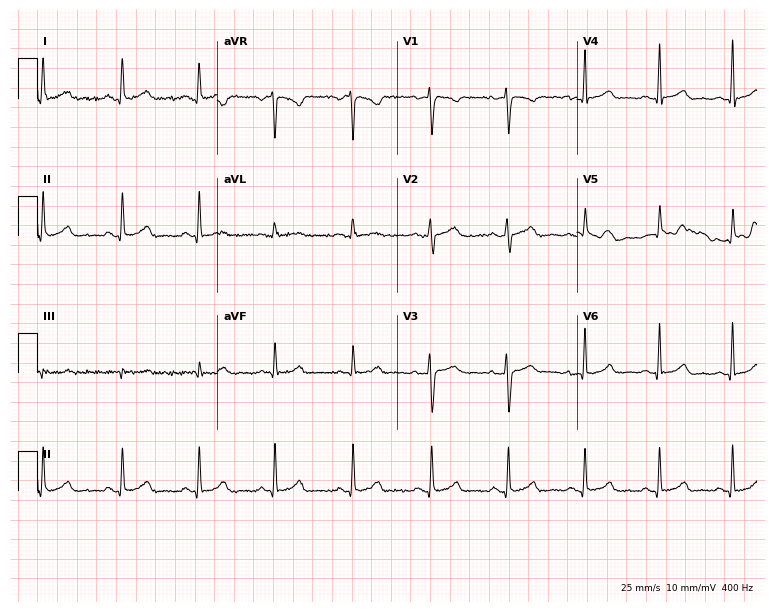
ECG (7.3-second recording at 400 Hz) — a 36-year-old female patient. Labelled as a normal ECG.